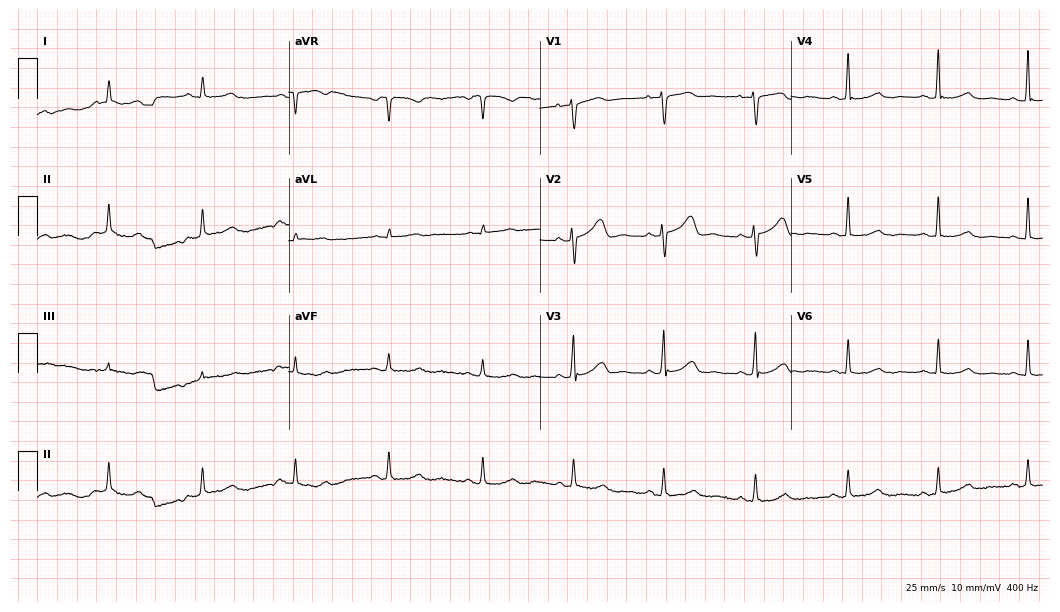
12-lead ECG from a 47-year-old woman. Screened for six findings — first-degree AV block, right bundle branch block, left bundle branch block, sinus bradycardia, atrial fibrillation, sinus tachycardia — none is recorded.